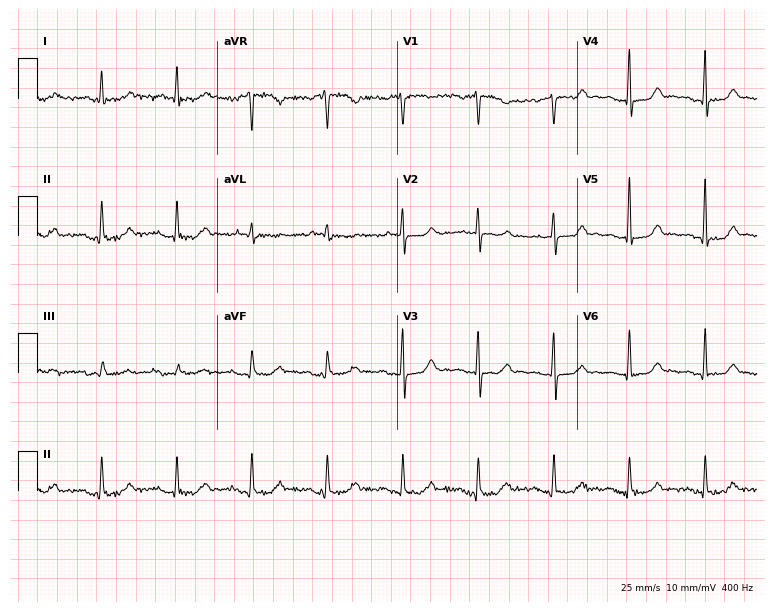
Standard 12-lead ECG recorded from a 73-year-old male (7.3-second recording at 400 Hz). Read as a normal ECG.